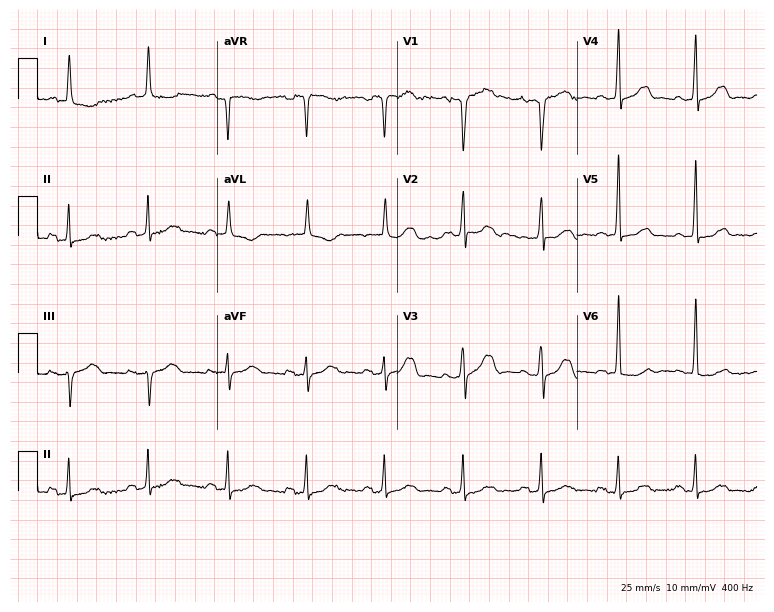
ECG — a 77-year-old male patient. Screened for six findings — first-degree AV block, right bundle branch block (RBBB), left bundle branch block (LBBB), sinus bradycardia, atrial fibrillation (AF), sinus tachycardia — none is recorded.